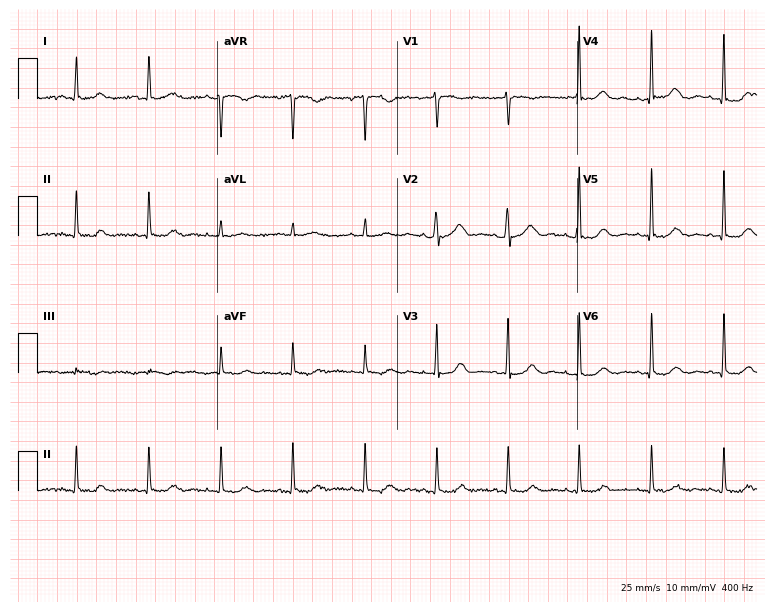
12-lead ECG from a 77-year-old woman (7.3-second recording at 400 Hz). Recorded interpretation: within normal limits.